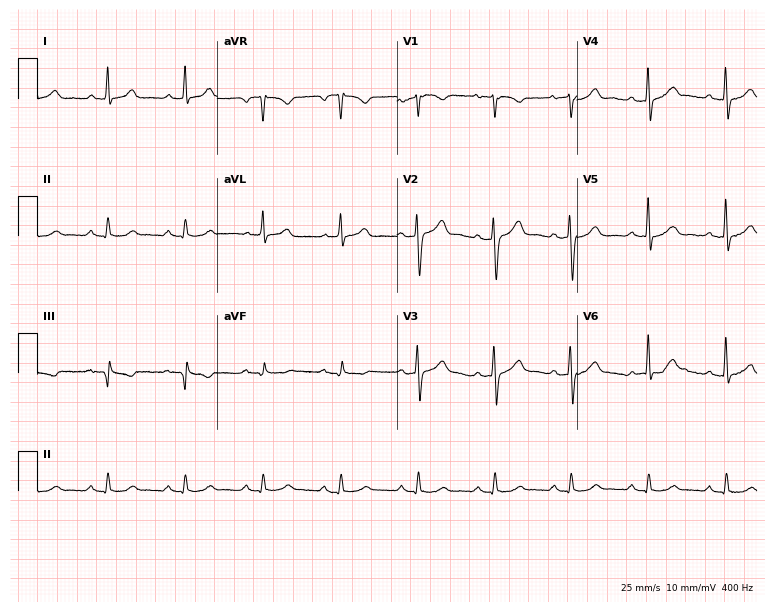
ECG — a male, 72 years old. Labelled as a normal ECG.